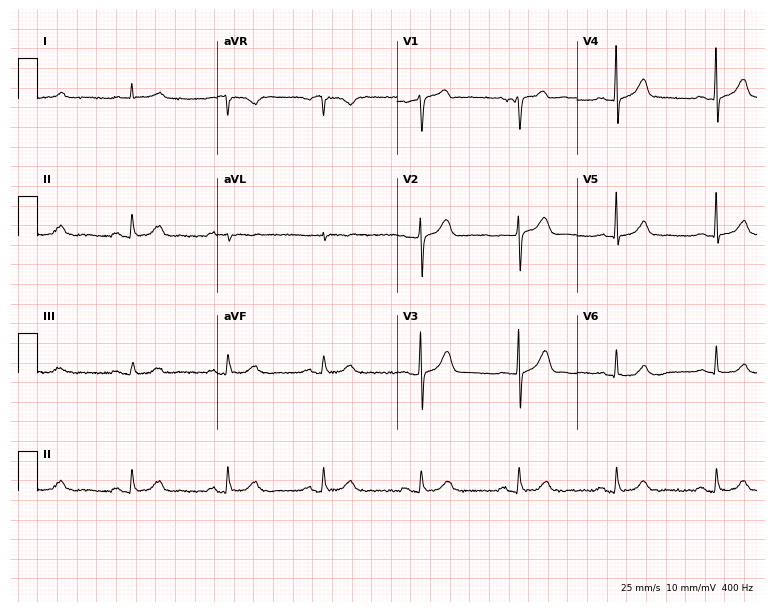
12-lead ECG (7.3-second recording at 400 Hz) from a male patient, 76 years old. Screened for six findings — first-degree AV block, right bundle branch block (RBBB), left bundle branch block (LBBB), sinus bradycardia, atrial fibrillation (AF), sinus tachycardia — none is recorded. Only these six findings were labelled.